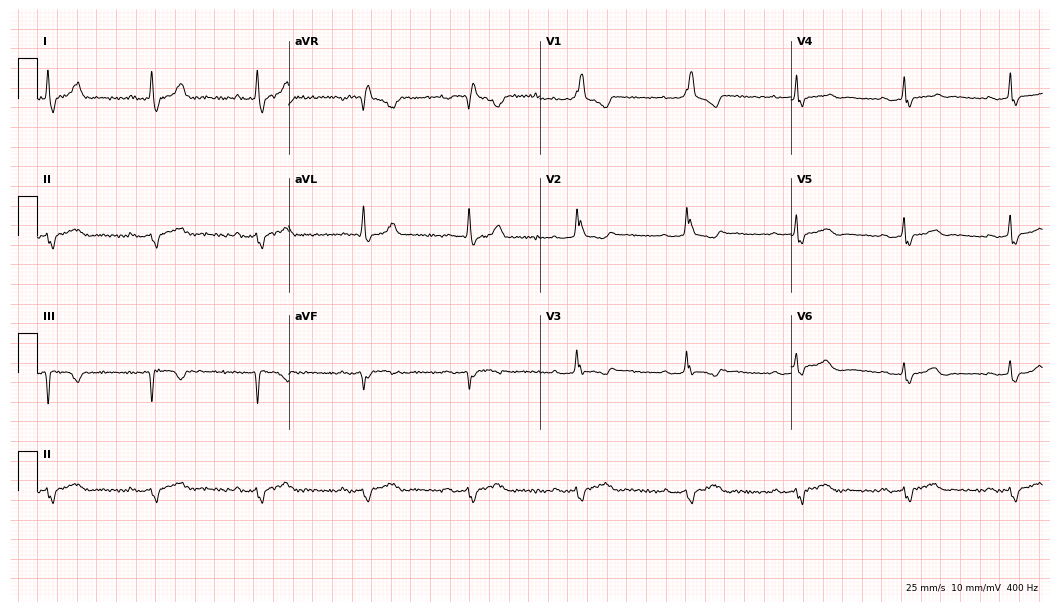
ECG — a 40-year-old female patient. Findings include first-degree AV block, right bundle branch block.